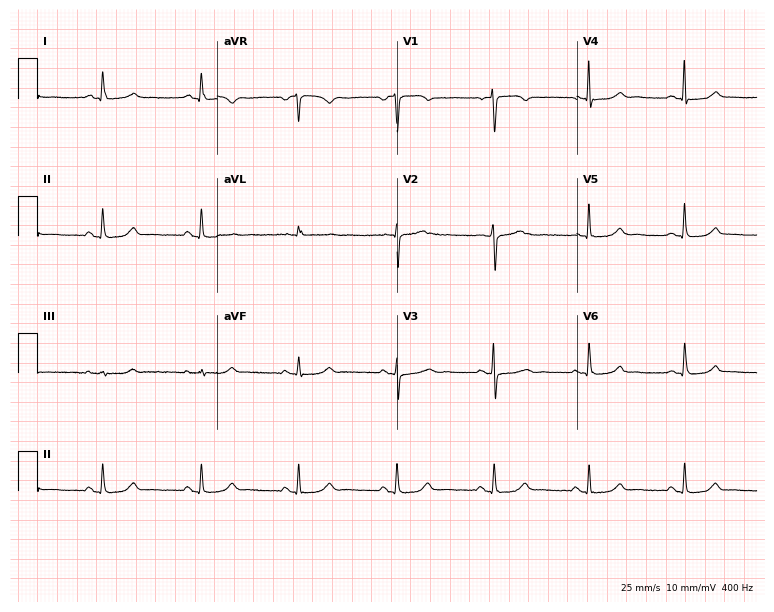
ECG (7.3-second recording at 400 Hz) — a 44-year-old woman. Labelled as a normal ECG.